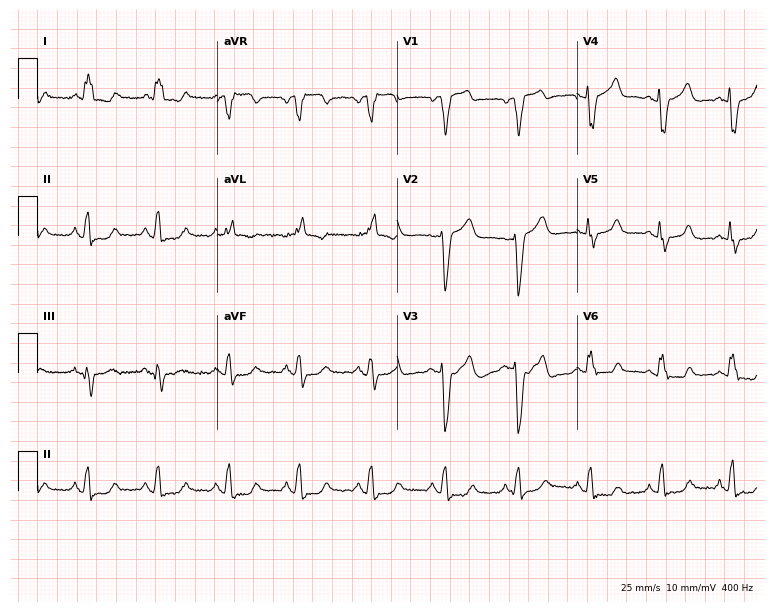
ECG — a female, 72 years old. Findings include left bundle branch block (LBBB).